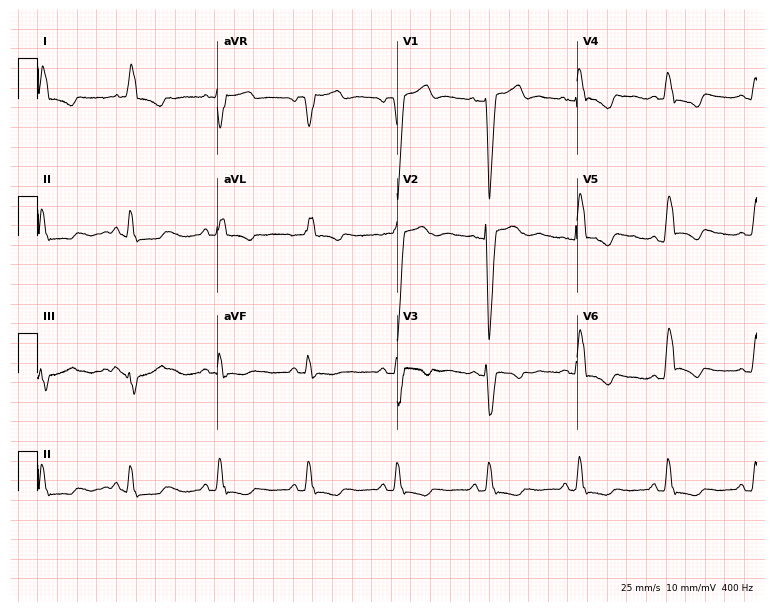
12-lead ECG (7.3-second recording at 400 Hz) from a 76-year-old woman. Findings include left bundle branch block (LBBB).